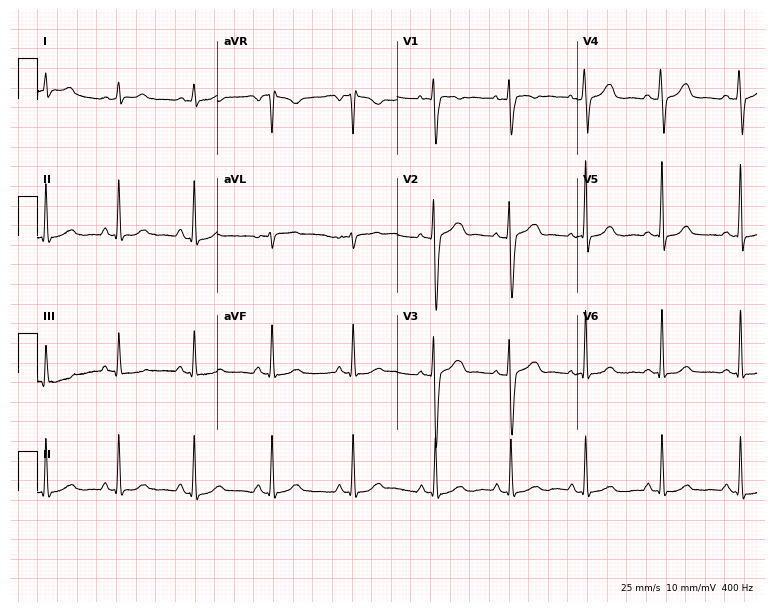
12-lead ECG from a female, 26 years old (7.3-second recording at 400 Hz). Recorded interpretation: within normal limits.